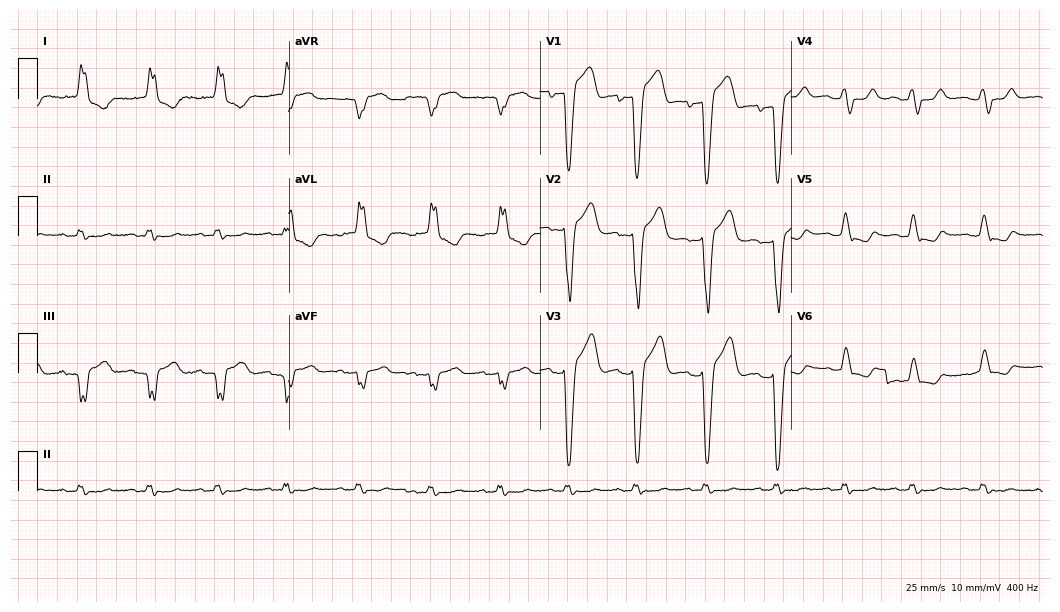
12-lead ECG from a 62-year-old female (10.2-second recording at 400 Hz). Shows left bundle branch block.